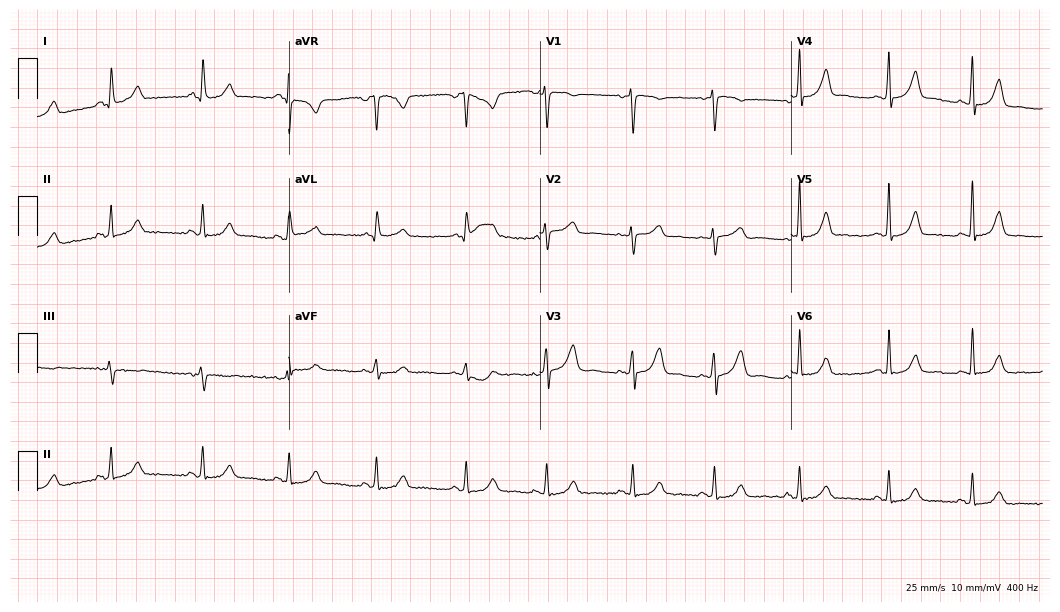
Standard 12-lead ECG recorded from a female, 49 years old (10.2-second recording at 400 Hz). Read as a normal ECG.